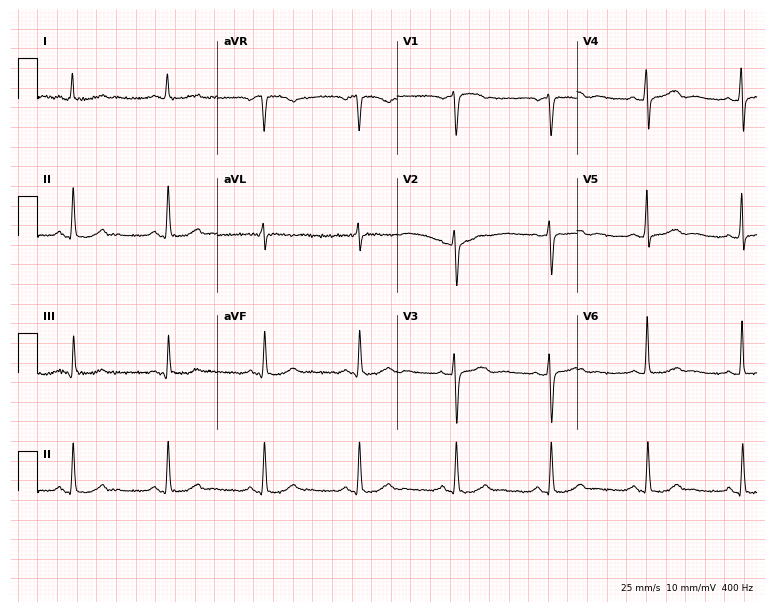
Resting 12-lead electrocardiogram (7.3-second recording at 400 Hz). Patient: a 59-year-old woman. Read as a normal ECG.